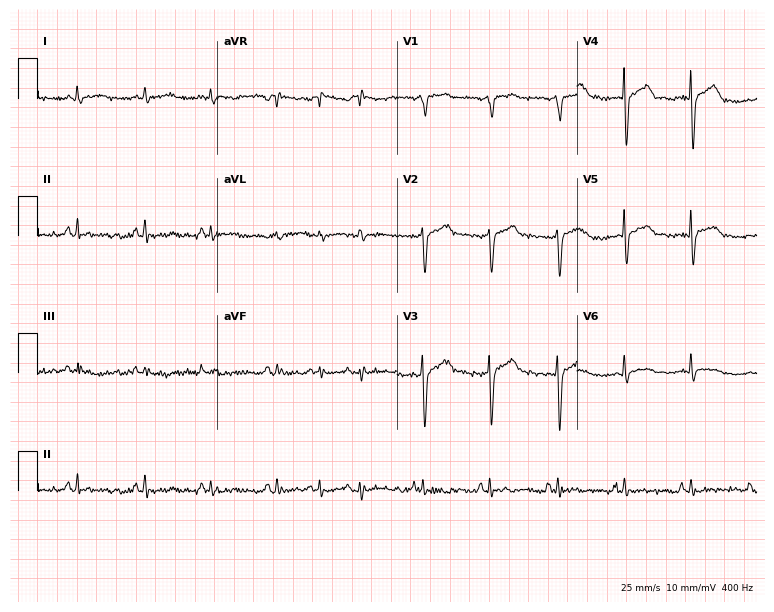
Electrocardiogram (7.3-second recording at 400 Hz), a male patient, 67 years old. Of the six screened findings (first-degree AV block, right bundle branch block (RBBB), left bundle branch block (LBBB), sinus bradycardia, atrial fibrillation (AF), sinus tachycardia), none is recorded. Other findings, if any, are not listed.